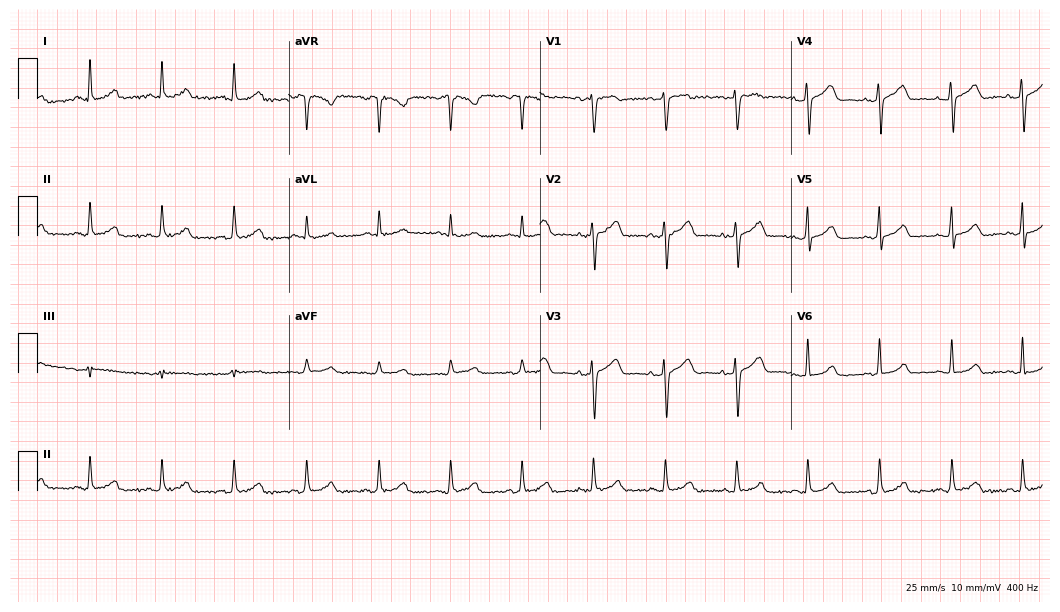
Standard 12-lead ECG recorded from a 41-year-old woman. Read as a normal ECG.